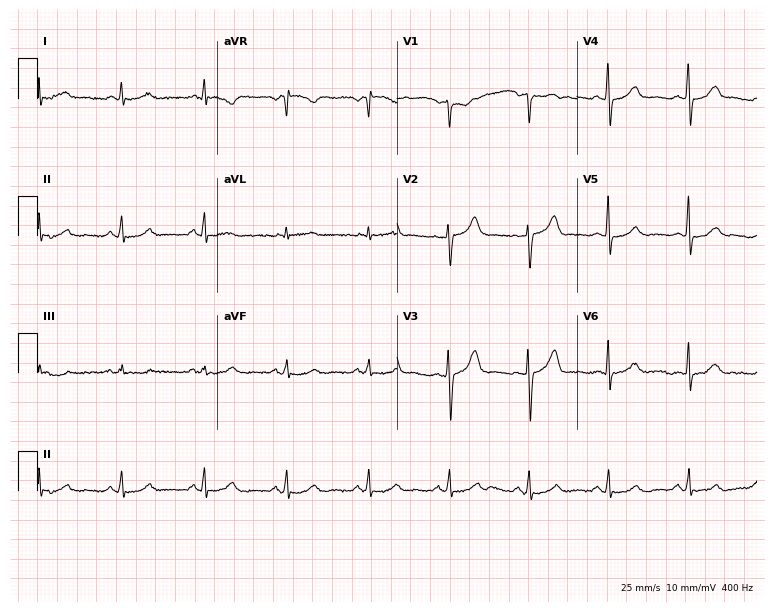
Standard 12-lead ECG recorded from a man, 59 years old. Read as a normal ECG.